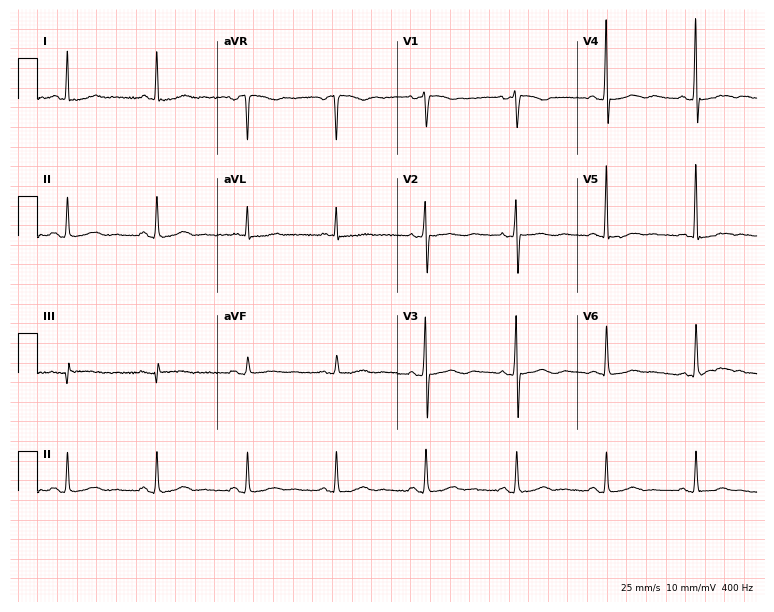
12-lead ECG from a female, 68 years old. Screened for six findings — first-degree AV block, right bundle branch block, left bundle branch block, sinus bradycardia, atrial fibrillation, sinus tachycardia — none is recorded.